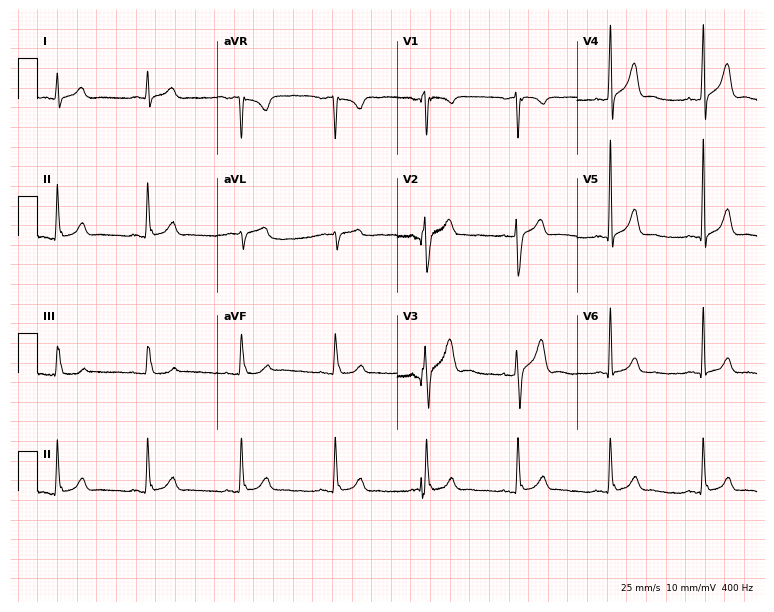
Electrocardiogram (7.3-second recording at 400 Hz), a 47-year-old male patient. Of the six screened findings (first-degree AV block, right bundle branch block, left bundle branch block, sinus bradycardia, atrial fibrillation, sinus tachycardia), none is recorded.